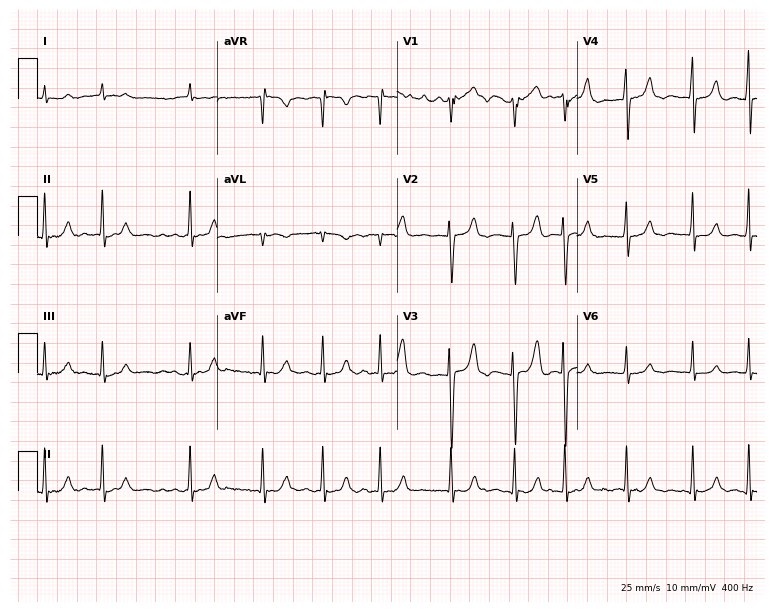
12-lead ECG from an 84-year-old male patient (7.3-second recording at 400 Hz). Shows atrial fibrillation.